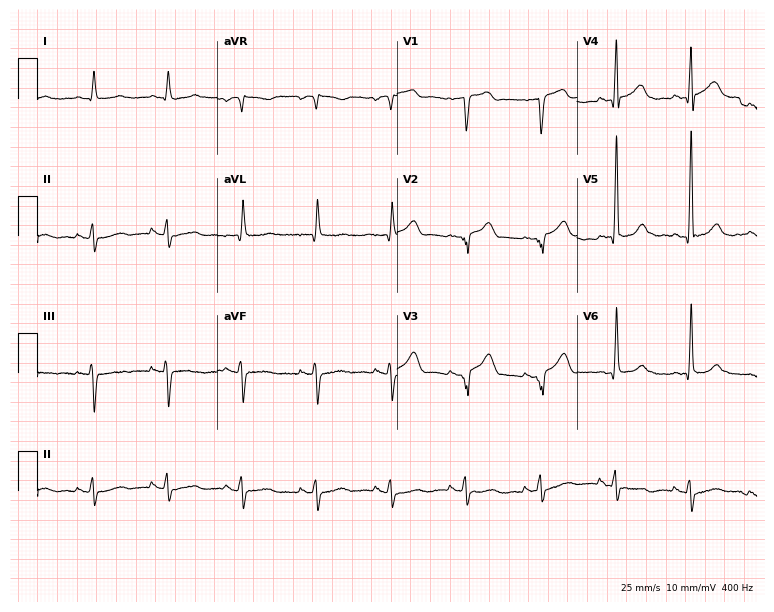
12-lead ECG from a male patient, 83 years old (7.3-second recording at 400 Hz). No first-degree AV block, right bundle branch block, left bundle branch block, sinus bradycardia, atrial fibrillation or sinus tachycardia recorded for this tracing. Other findings, if any, are not listed.